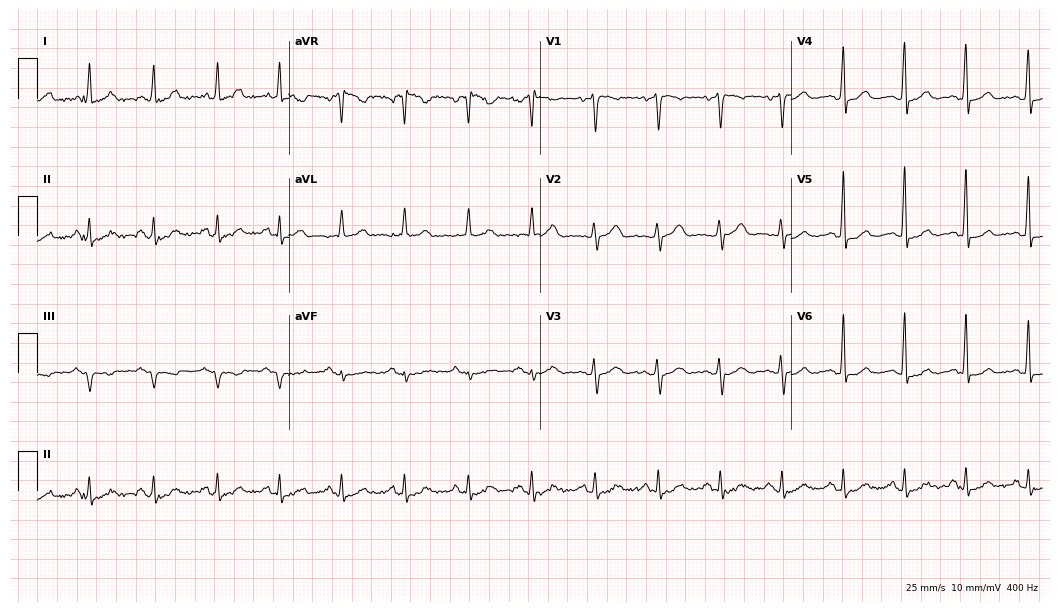
Standard 12-lead ECG recorded from a female patient, 45 years old (10.2-second recording at 400 Hz). Read as a normal ECG.